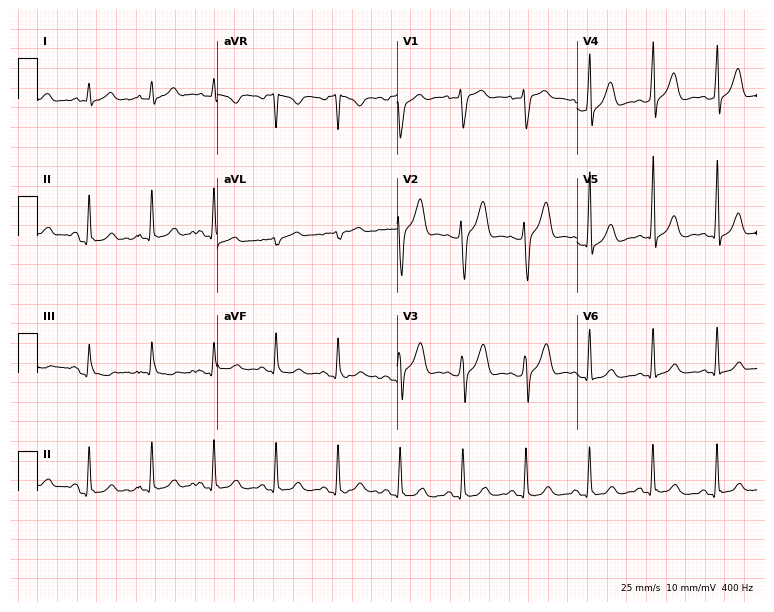
Resting 12-lead electrocardiogram (7.3-second recording at 400 Hz). Patient: a male, 54 years old. None of these six findings is recorded: first-degree AV block, right bundle branch block, left bundle branch block, sinus bradycardia, atrial fibrillation, sinus tachycardia.